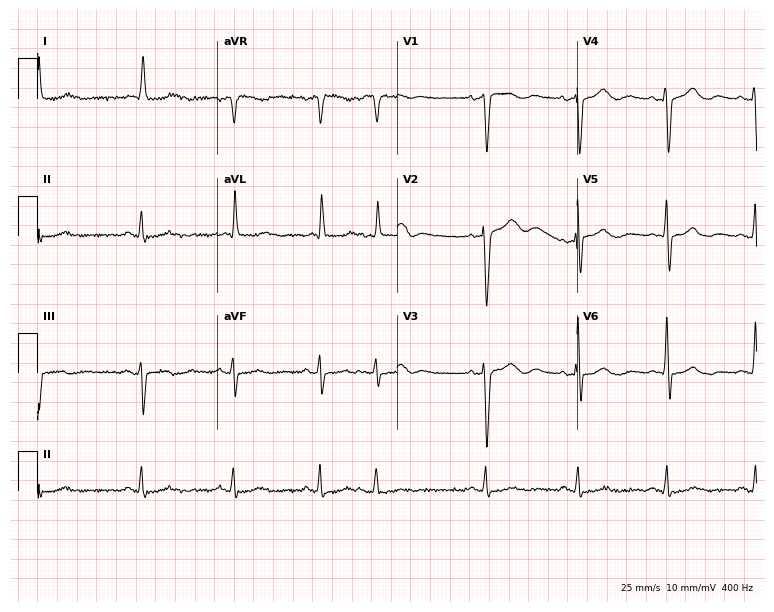
Standard 12-lead ECG recorded from a female patient, 76 years old. None of these six findings is recorded: first-degree AV block, right bundle branch block, left bundle branch block, sinus bradycardia, atrial fibrillation, sinus tachycardia. Only these six findings were labelled.